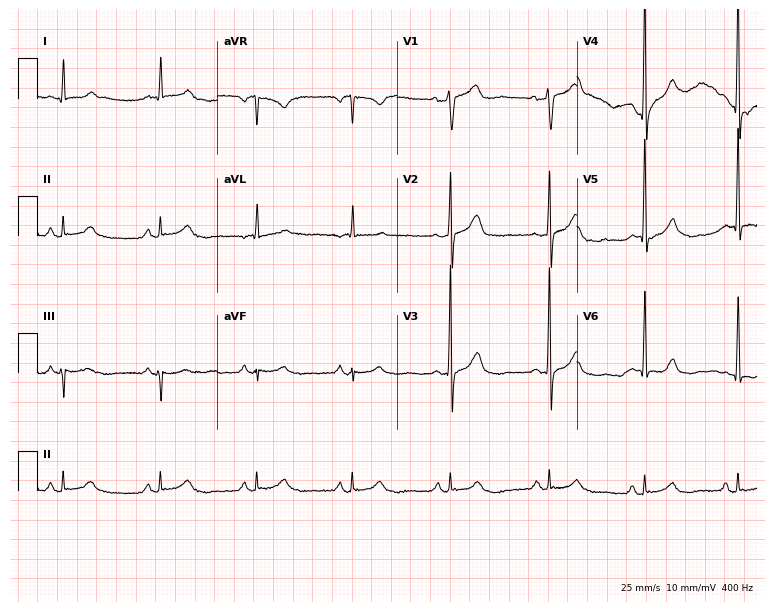
12-lead ECG from a 66-year-old male. Recorded interpretation: within normal limits.